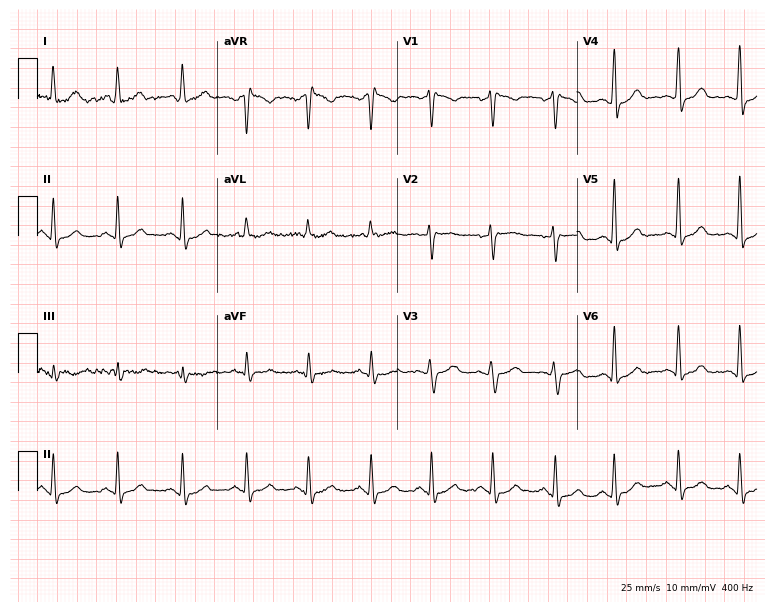
Electrocardiogram, a 45-year-old female. Of the six screened findings (first-degree AV block, right bundle branch block, left bundle branch block, sinus bradycardia, atrial fibrillation, sinus tachycardia), none is recorded.